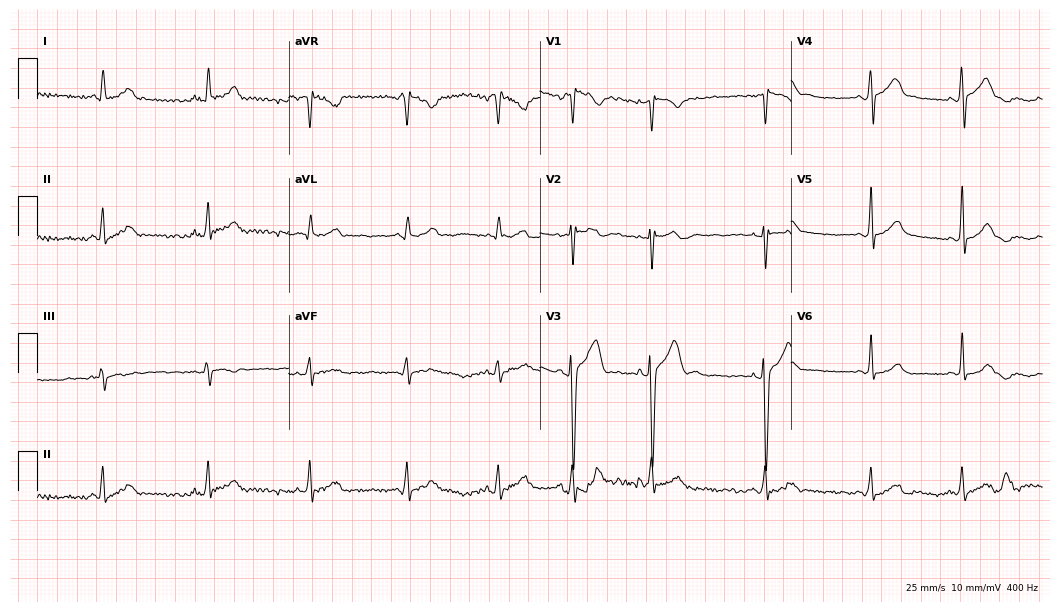
12-lead ECG from a man, 21 years old. Labelled as a normal ECG.